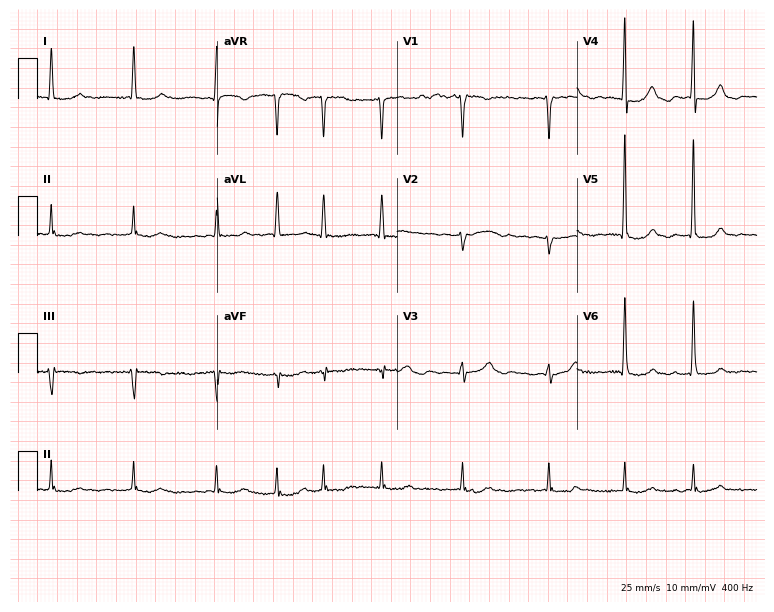
ECG — a female, 75 years old. Findings include atrial fibrillation.